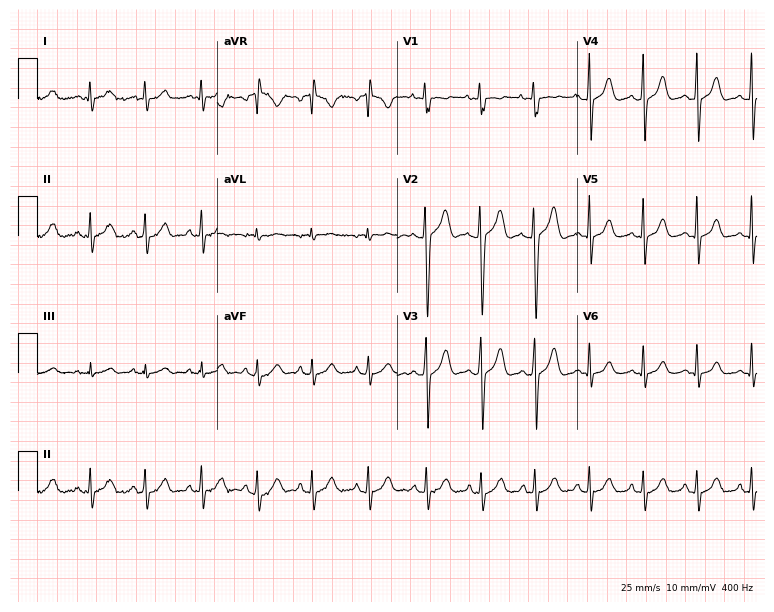
Standard 12-lead ECG recorded from a female patient, 21 years old. None of these six findings is recorded: first-degree AV block, right bundle branch block, left bundle branch block, sinus bradycardia, atrial fibrillation, sinus tachycardia.